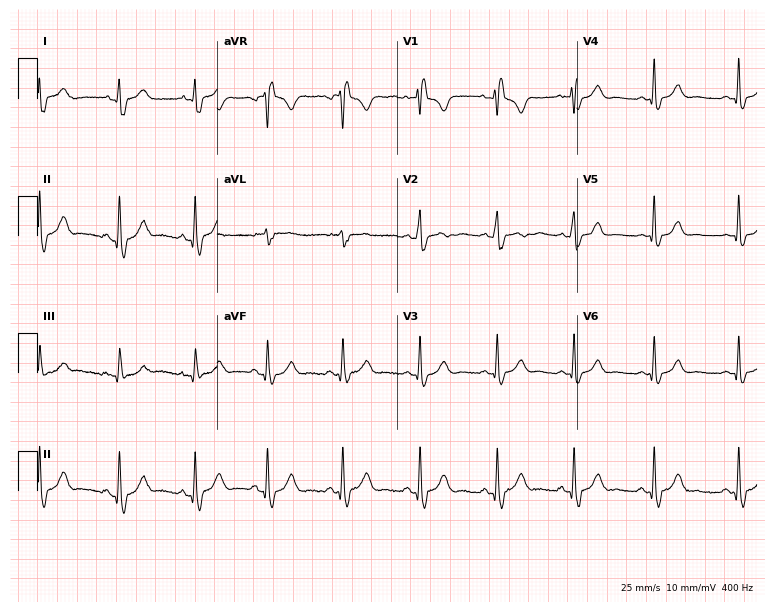
Resting 12-lead electrocardiogram. Patient: a female, 38 years old. The tracing shows right bundle branch block.